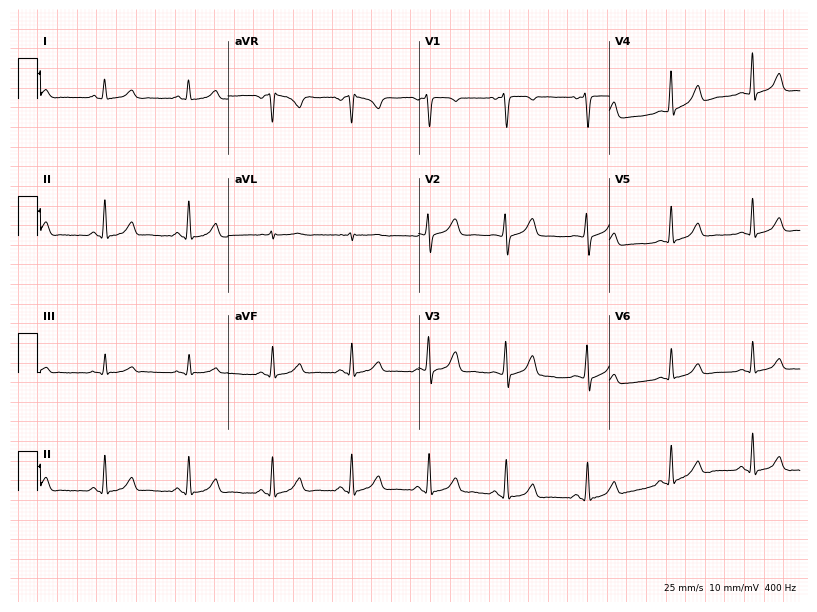
ECG — a 38-year-old woman. Labelled as a normal ECG.